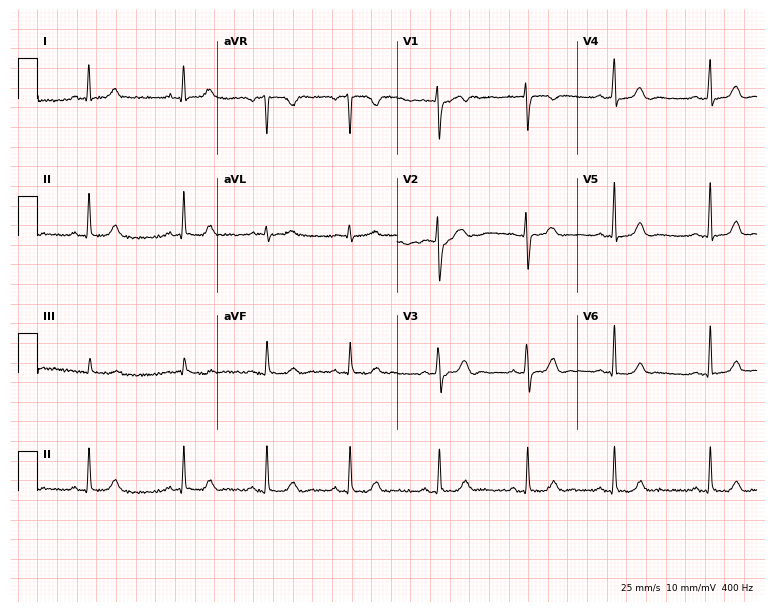
Standard 12-lead ECG recorded from a 23-year-old woman. None of these six findings is recorded: first-degree AV block, right bundle branch block, left bundle branch block, sinus bradycardia, atrial fibrillation, sinus tachycardia.